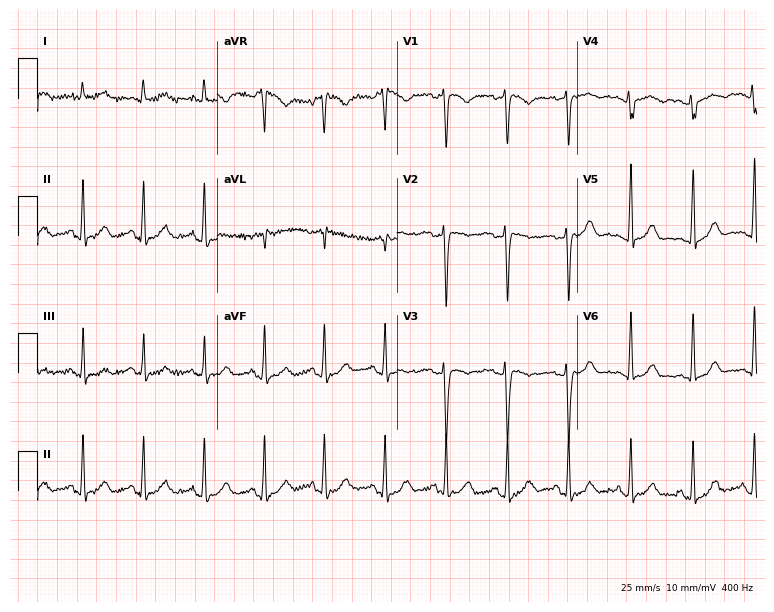
12-lead ECG from a female, 40 years old (7.3-second recording at 400 Hz). Recorded interpretation: within normal limits.